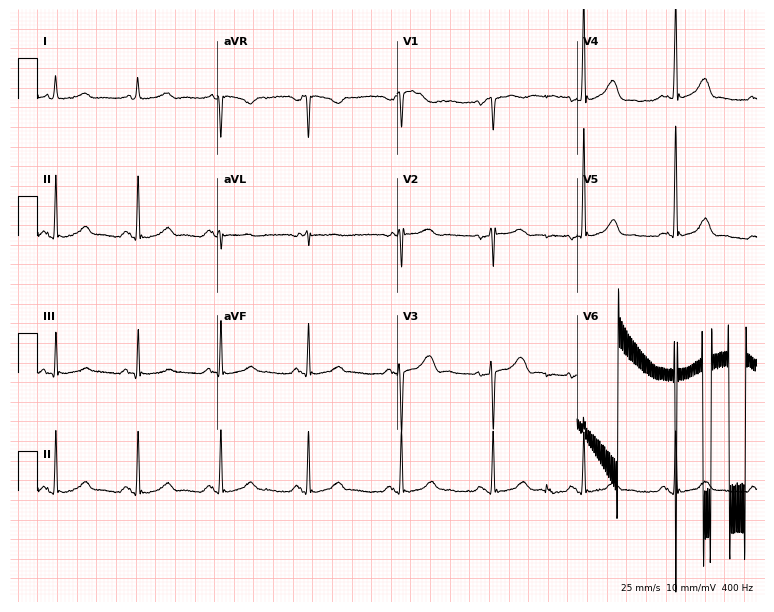
ECG — a 37-year-old female patient. Labelled as a normal ECG.